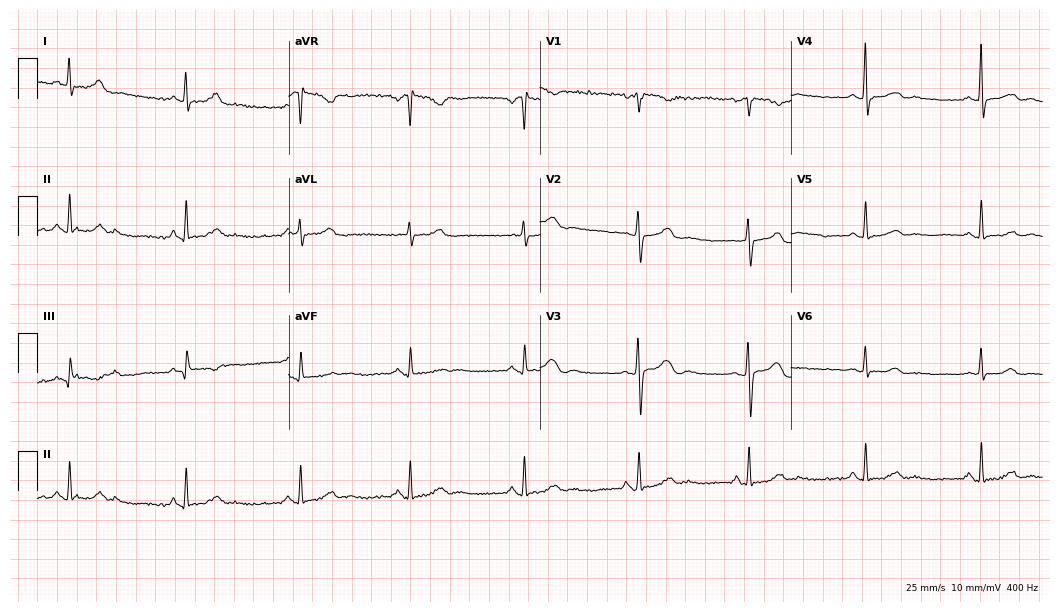
12-lead ECG from a female, 50 years old. Screened for six findings — first-degree AV block, right bundle branch block (RBBB), left bundle branch block (LBBB), sinus bradycardia, atrial fibrillation (AF), sinus tachycardia — none is recorded.